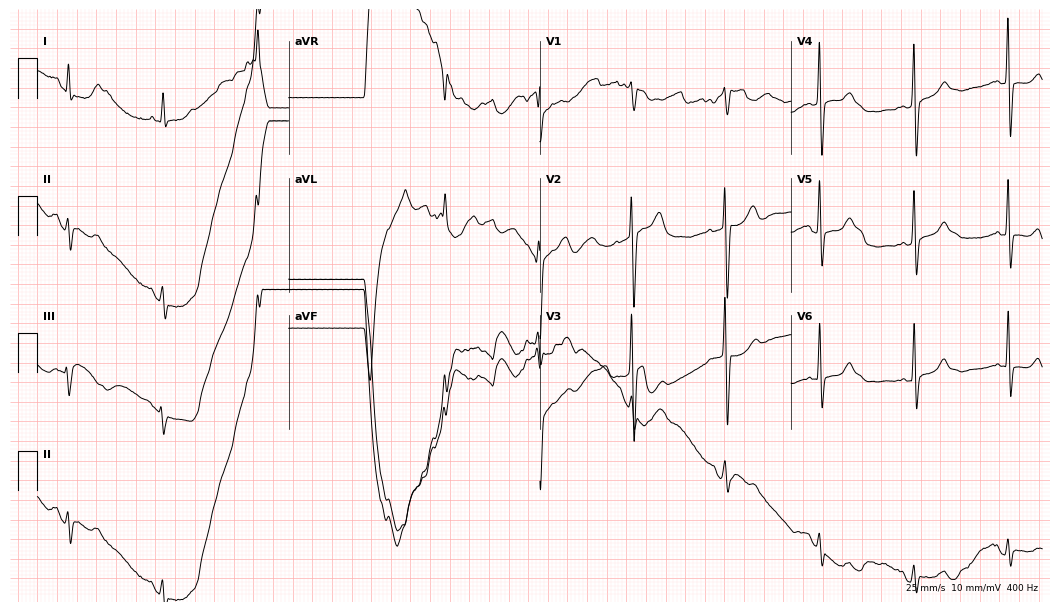
12-lead ECG from a female, 63 years old (10.2-second recording at 400 Hz). Recorded interpretation: within normal limits.